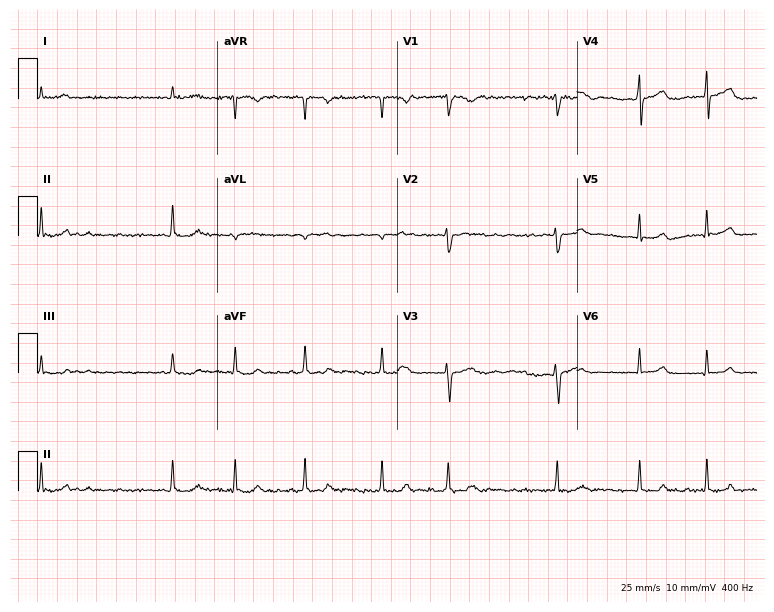
12-lead ECG from a man, 78 years old. Findings include atrial fibrillation.